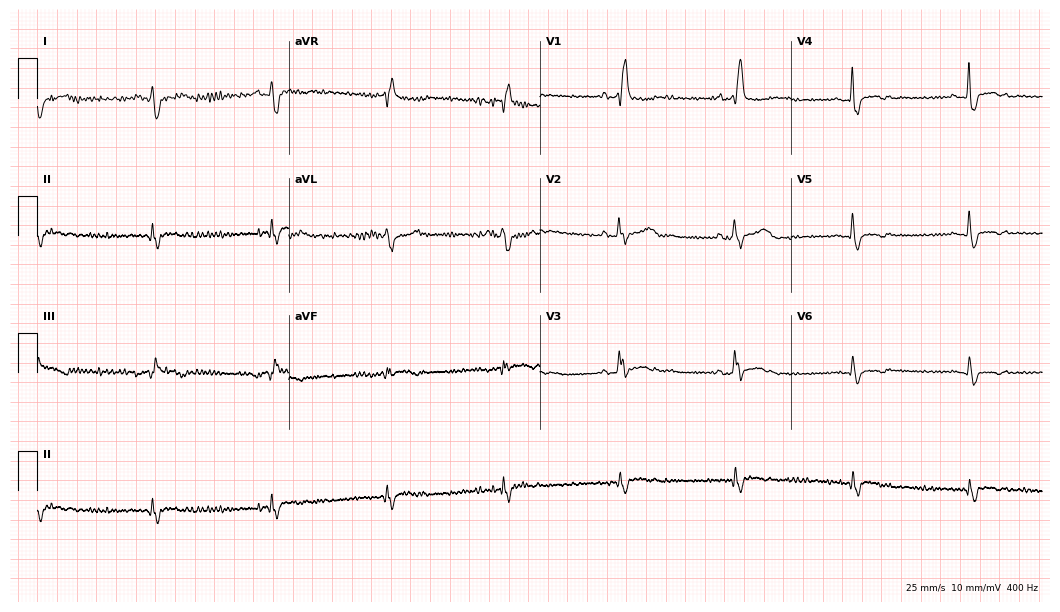
Resting 12-lead electrocardiogram. Patient: a 46-year-old man. None of these six findings is recorded: first-degree AV block, right bundle branch block (RBBB), left bundle branch block (LBBB), sinus bradycardia, atrial fibrillation (AF), sinus tachycardia.